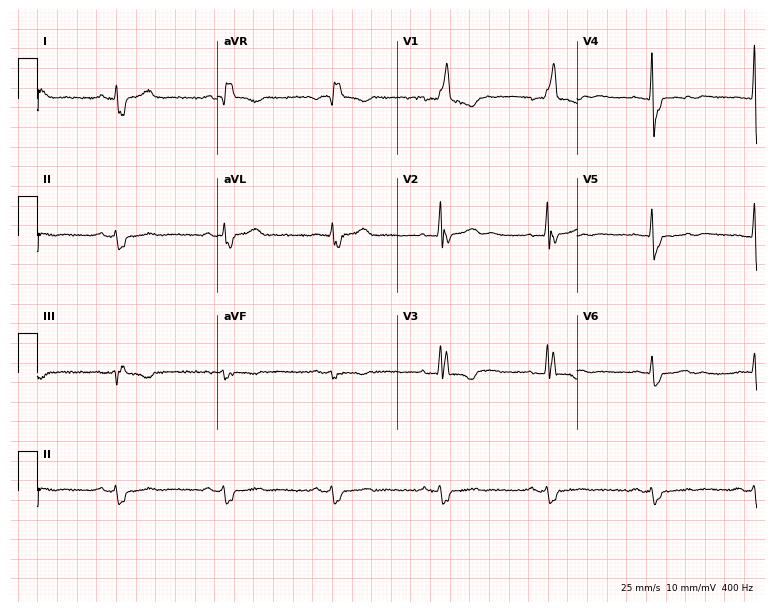
ECG (7.3-second recording at 400 Hz) — a female patient, 66 years old. Findings include right bundle branch block.